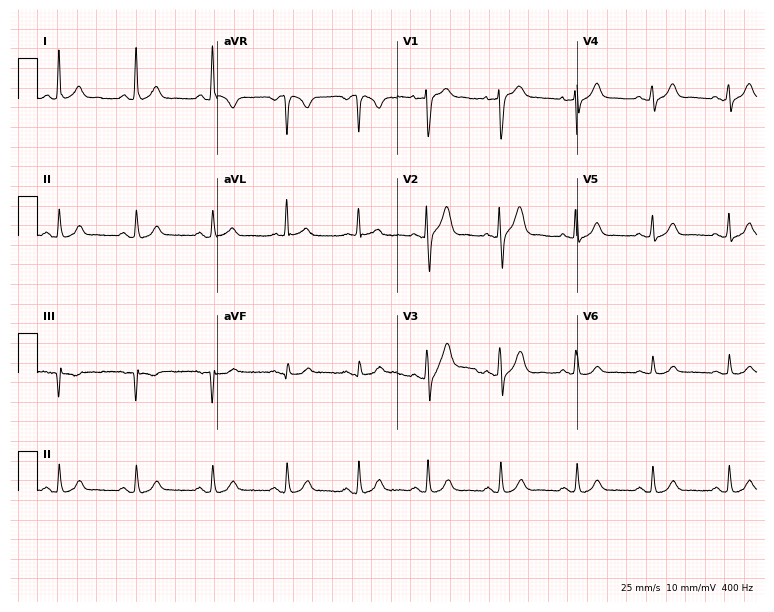
12-lead ECG (7.3-second recording at 400 Hz) from a man, 50 years old. Screened for six findings — first-degree AV block, right bundle branch block, left bundle branch block, sinus bradycardia, atrial fibrillation, sinus tachycardia — none is recorded. Findings outside these six are not listed.